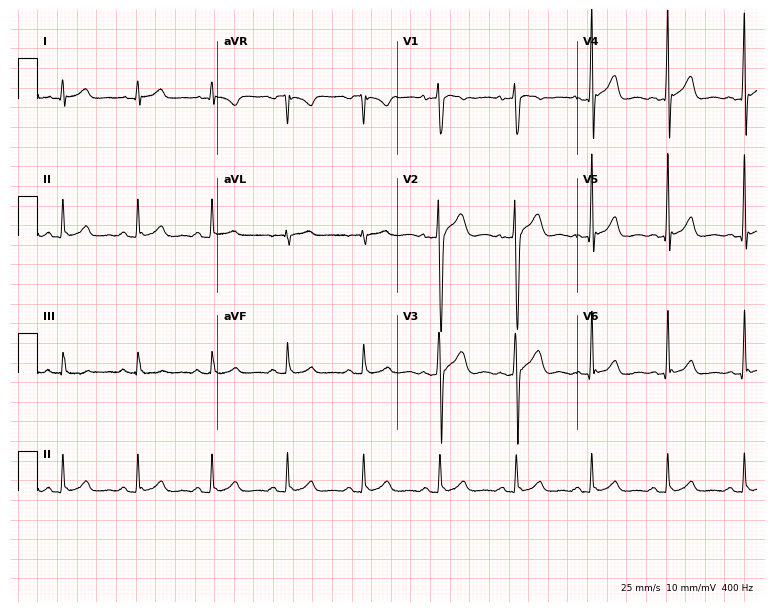
12-lead ECG from a 22-year-old male (7.3-second recording at 400 Hz). Recorded interpretation: within normal limits.